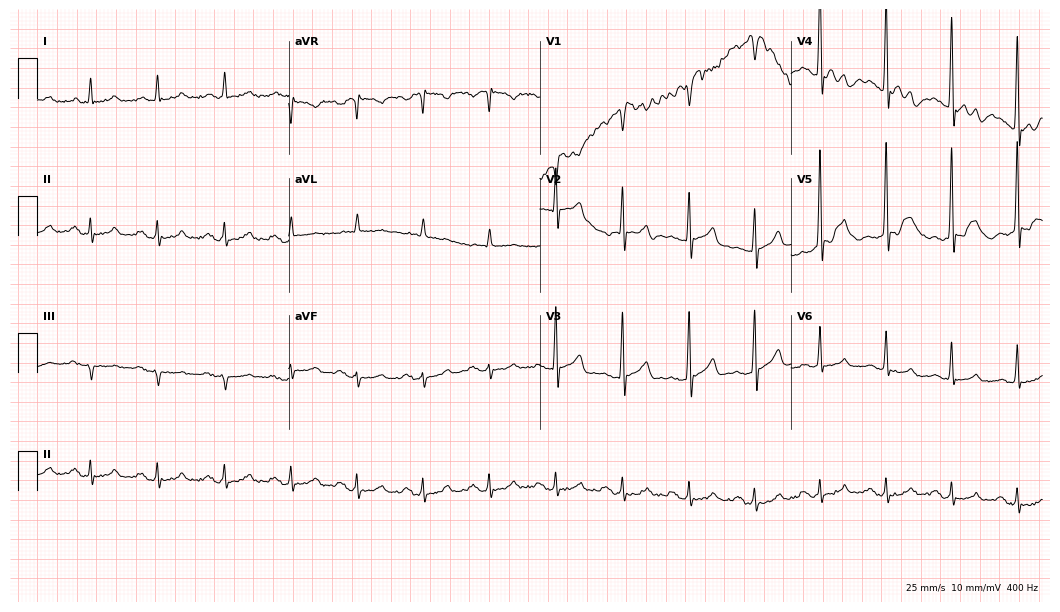
Resting 12-lead electrocardiogram (10.2-second recording at 400 Hz). Patient: a male, 69 years old. None of these six findings is recorded: first-degree AV block, right bundle branch block, left bundle branch block, sinus bradycardia, atrial fibrillation, sinus tachycardia. Other findings, if any, are not listed.